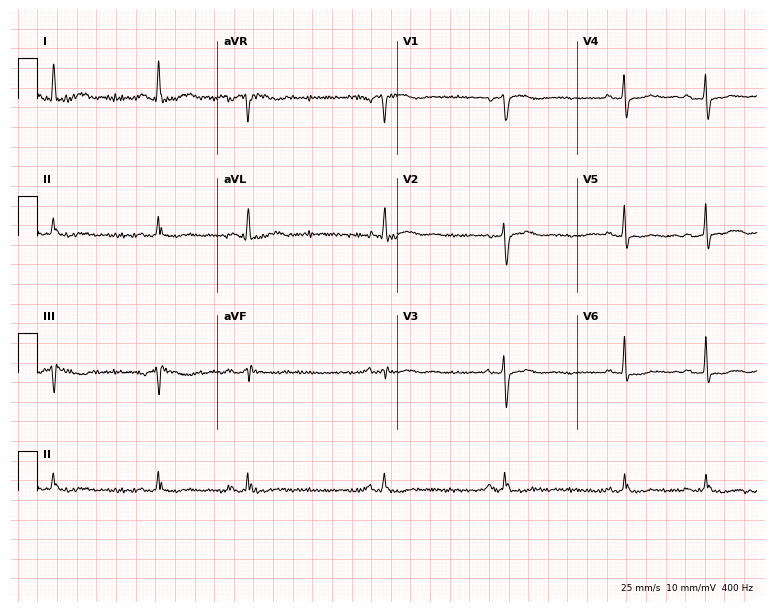
Standard 12-lead ECG recorded from a 77-year-old female patient (7.3-second recording at 400 Hz). Read as a normal ECG.